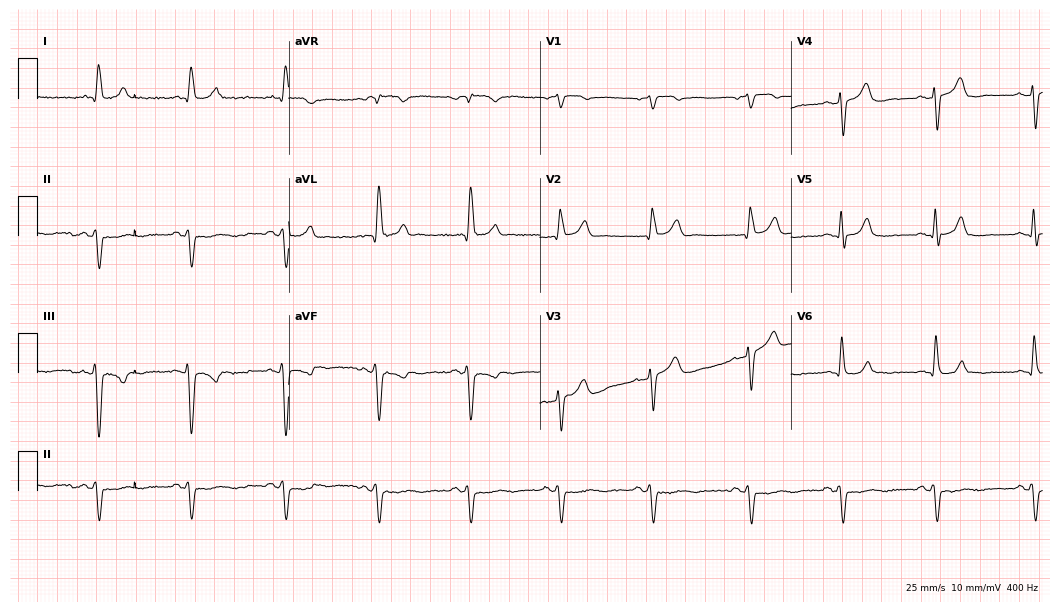
12-lead ECG (10.2-second recording at 400 Hz) from a male, 73 years old. Screened for six findings — first-degree AV block, right bundle branch block (RBBB), left bundle branch block (LBBB), sinus bradycardia, atrial fibrillation (AF), sinus tachycardia — none is recorded.